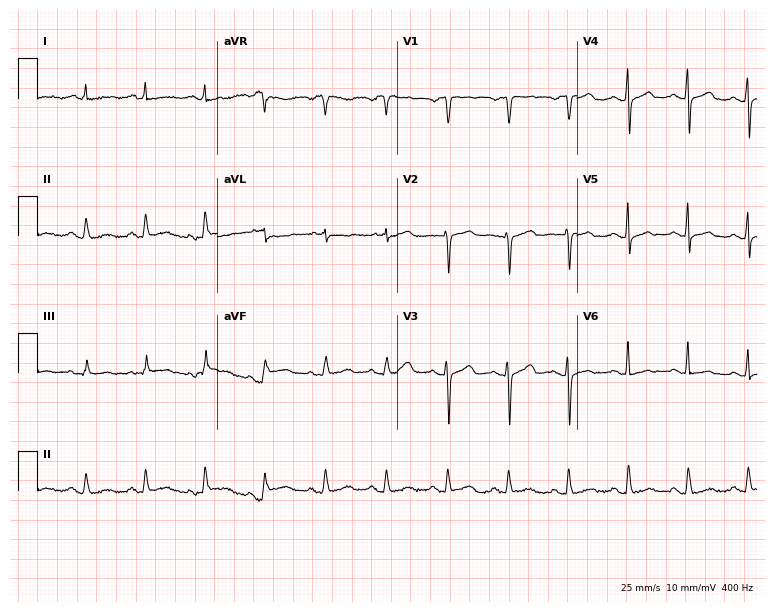
12-lead ECG (7.3-second recording at 400 Hz) from a 53-year-old male. Labelled as a normal ECG.